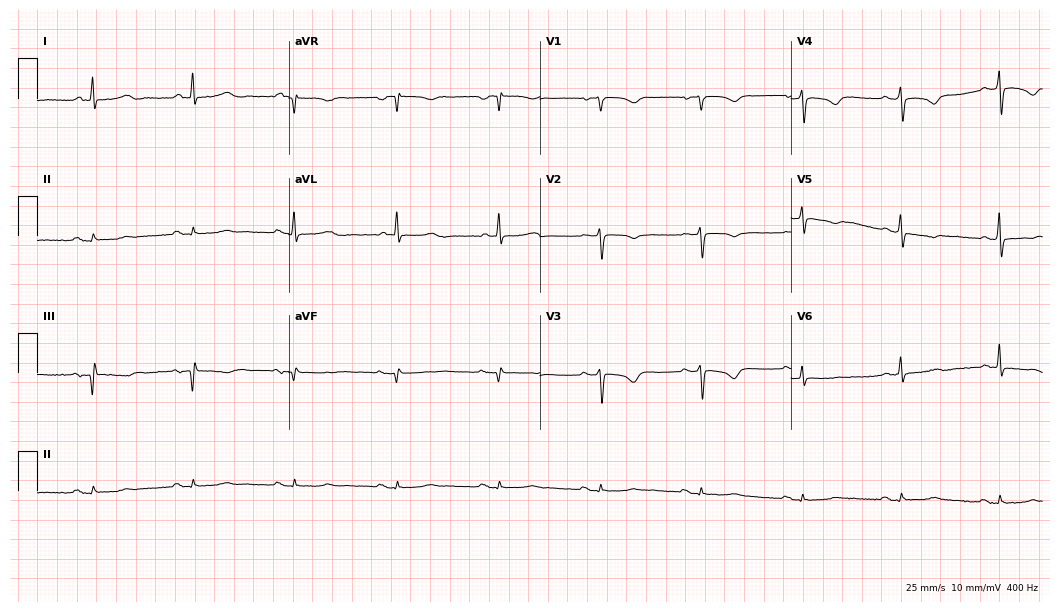
12-lead ECG from a 74-year-old woman (10.2-second recording at 400 Hz). Recorded interpretation: within normal limits.